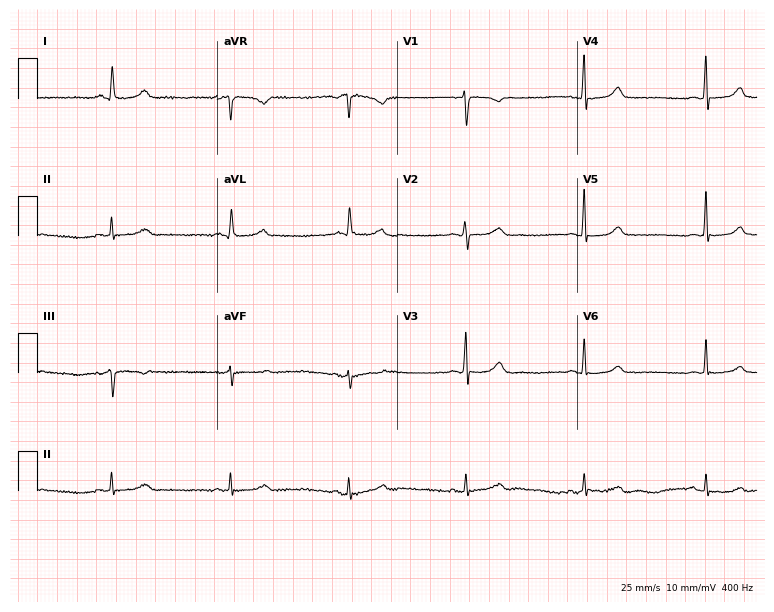
Standard 12-lead ECG recorded from a woman, 64 years old. The tracing shows sinus bradycardia (a sinus rate of 50 beats per minute or less).